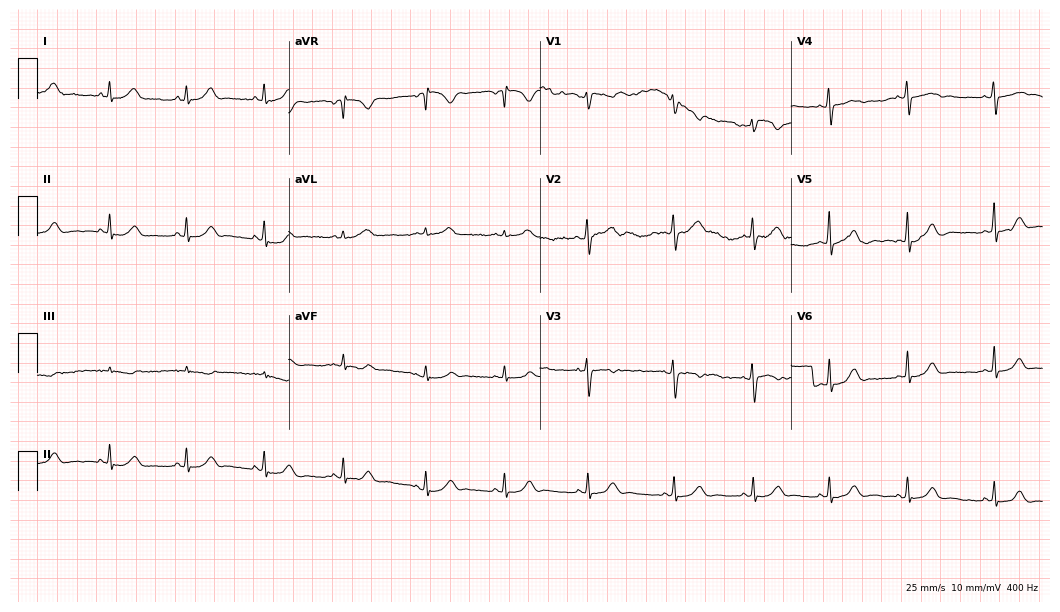
12-lead ECG (10.2-second recording at 400 Hz) from a female patient, 27 years old. Labelled as a normal ECG.